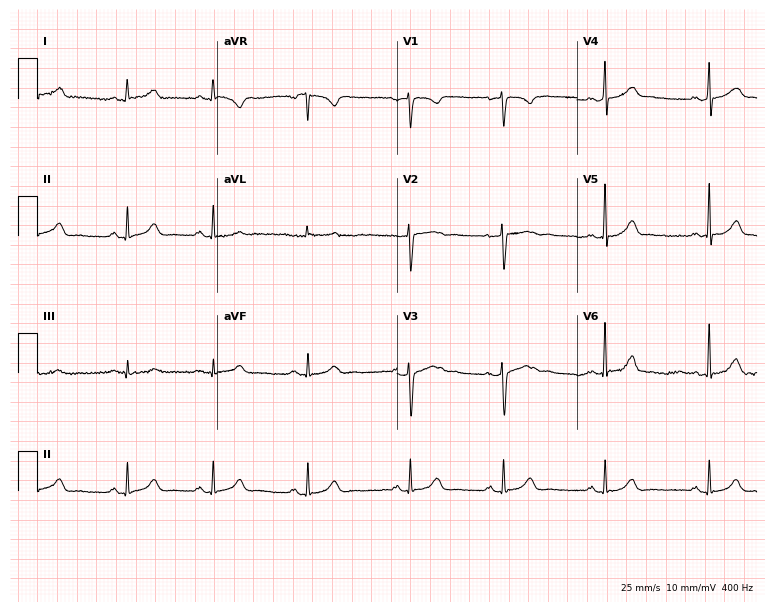
12-lead ECG (7.3-second recording at 400 Hz) from a 20-year-old female. Labelled as a normal ECG.